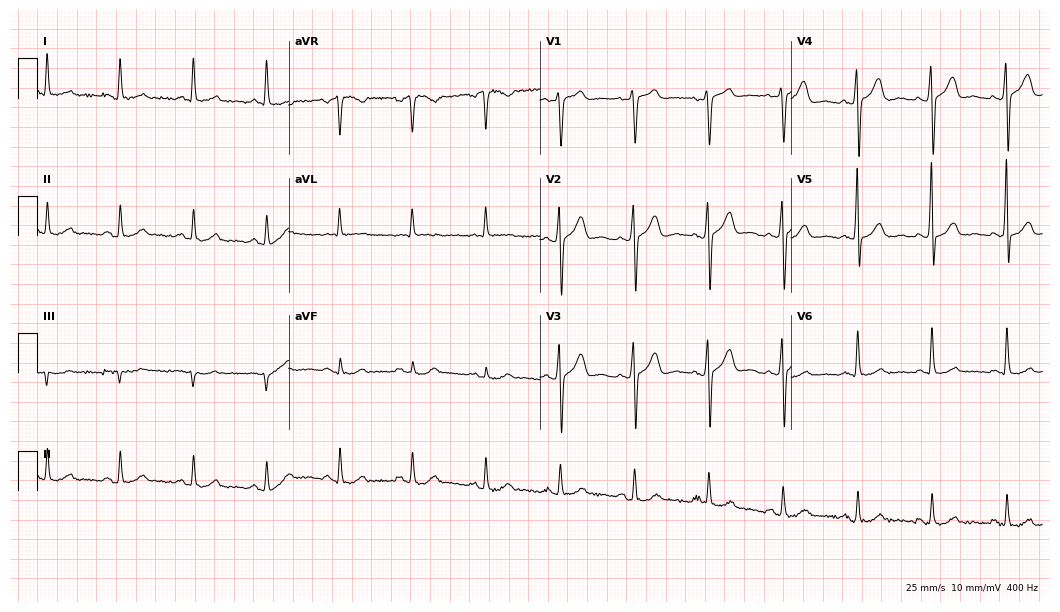
12-lead ECG from a 61-year-old male patient (10.2-second recording at 400 Hz). Recorded interpretation: within normal limits.